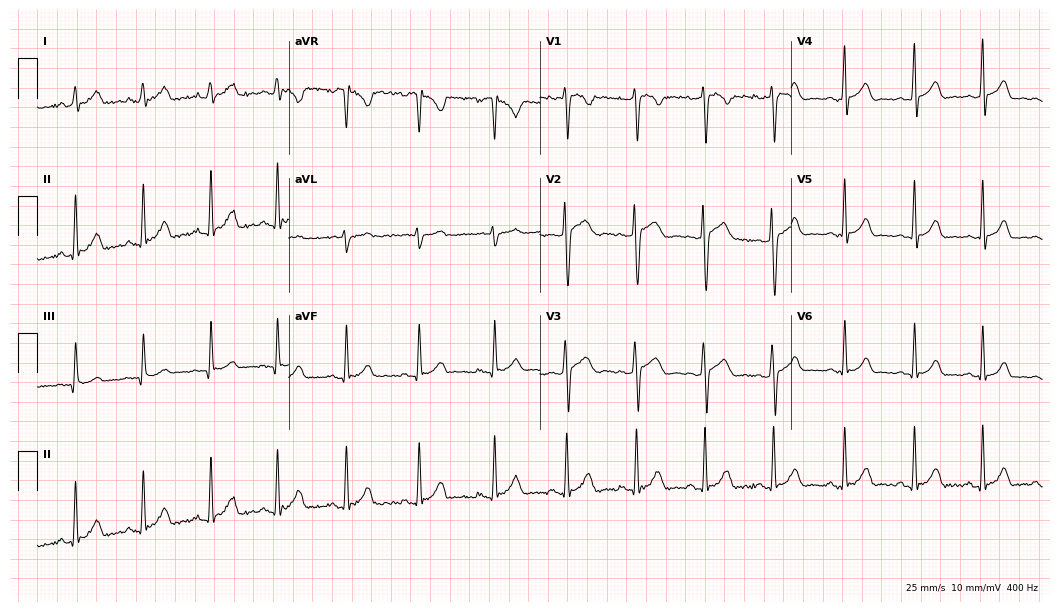
12-lead ECG from a 24-year-old female patient. Labelled as a normal ECG.